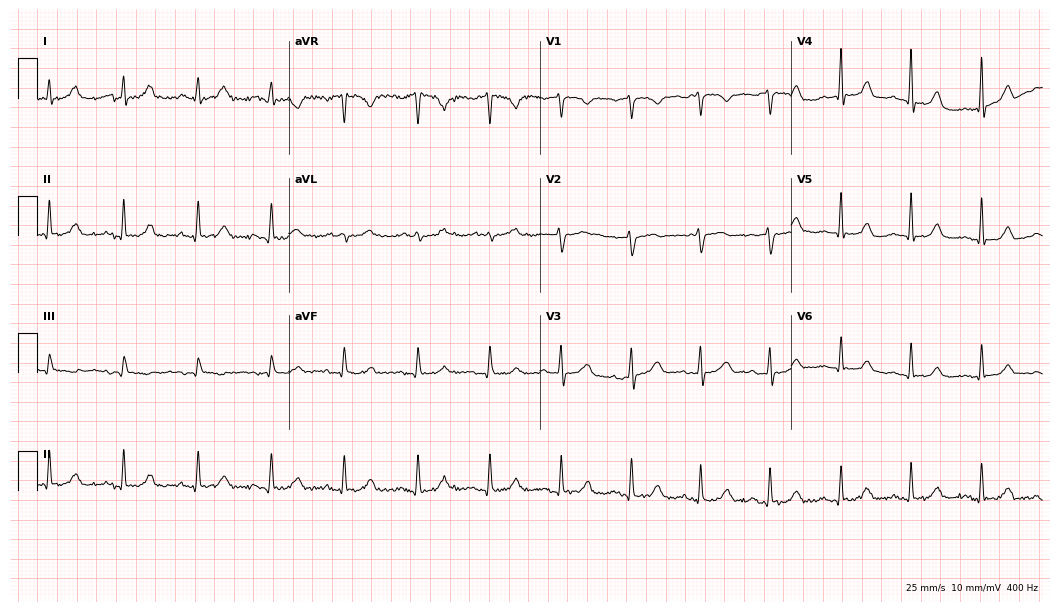
Electrocardiogram, a 56-year-old female patient. Overall reading on record: normal ECG.